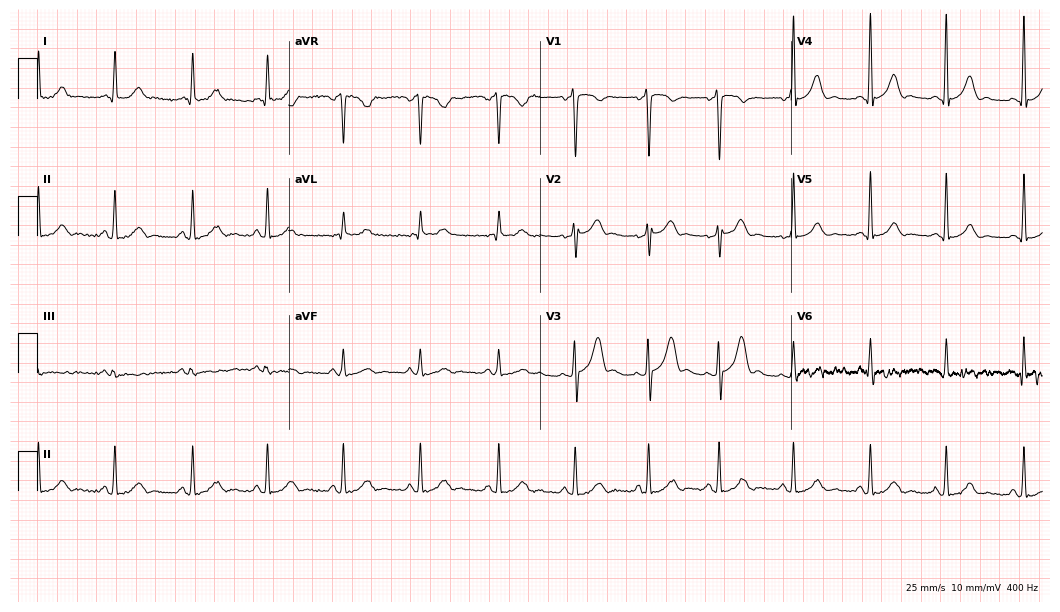
ECG (10.2-second recording at 400 Hz) — a 31-year-old male patient. Labelled as a normal ECG.